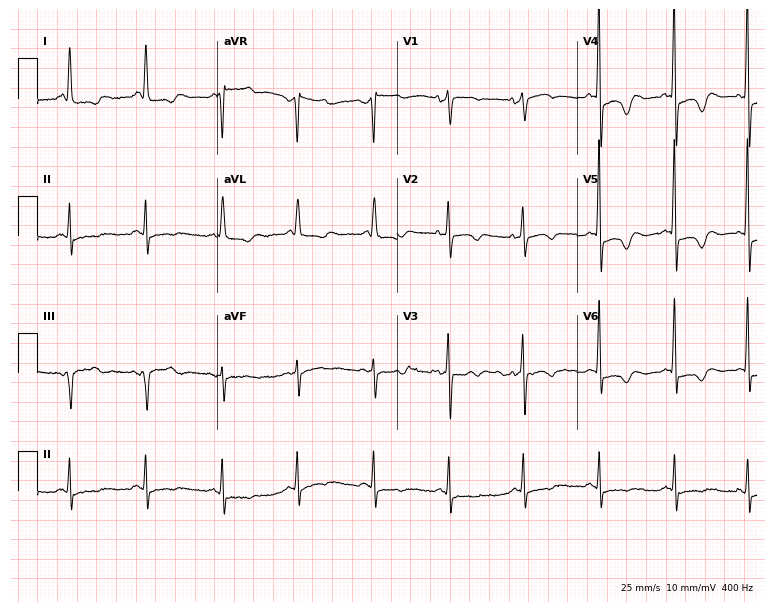
ECG (7.3-second recording at 400 Hz) — a woman, 77 years old. Screened for six findings — first-degree AV block, right bundle branch block (RBBB), left bundle branch block (LBBB), sinus bradycardia, atrial fibrillation (AF), sinus tachycardia — none is recorded. Only these six findings were labelled.